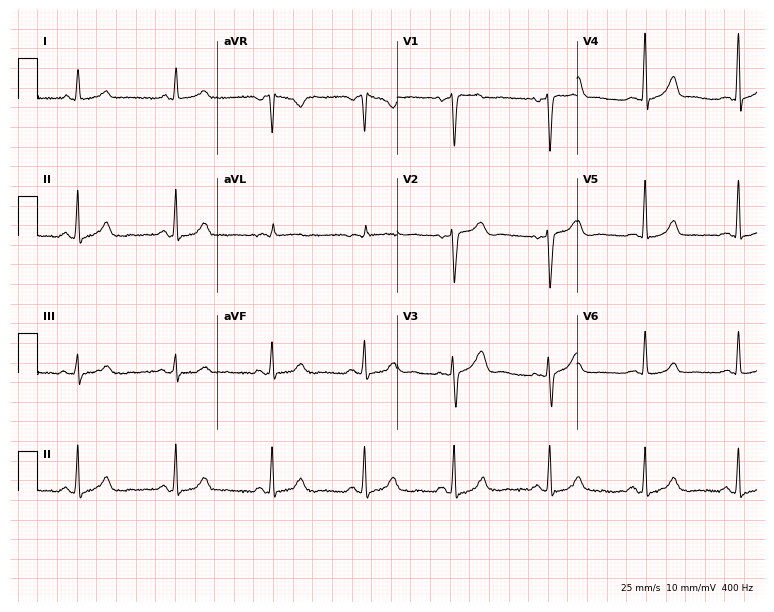
ECG — a female, 30 years old. Labelled as a normal ECG.